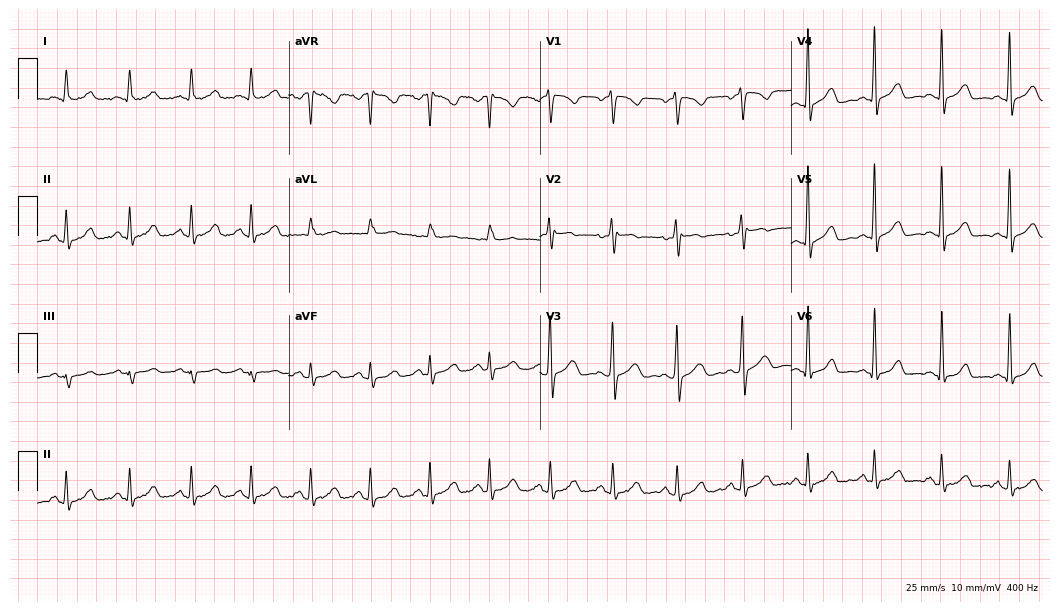
Resting 12-lead electrocardiogram. Patient: a female, 33 years old. None of these six findings is recorded: first-degree AV block, right bundle branch block (RBBB), left bundle branch block (LBBB), sinus bradycardia, atrial fibrillation (AF), sinus tachycardia. Only these six findings were labelled.